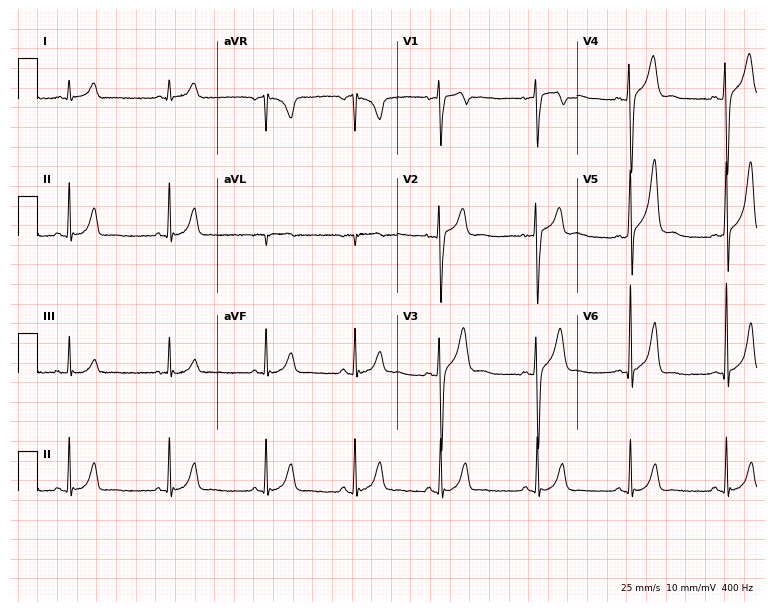
Resting 12-lead electrocardiogram. Patient: a man, 37 years old. Read as a normal ECG.